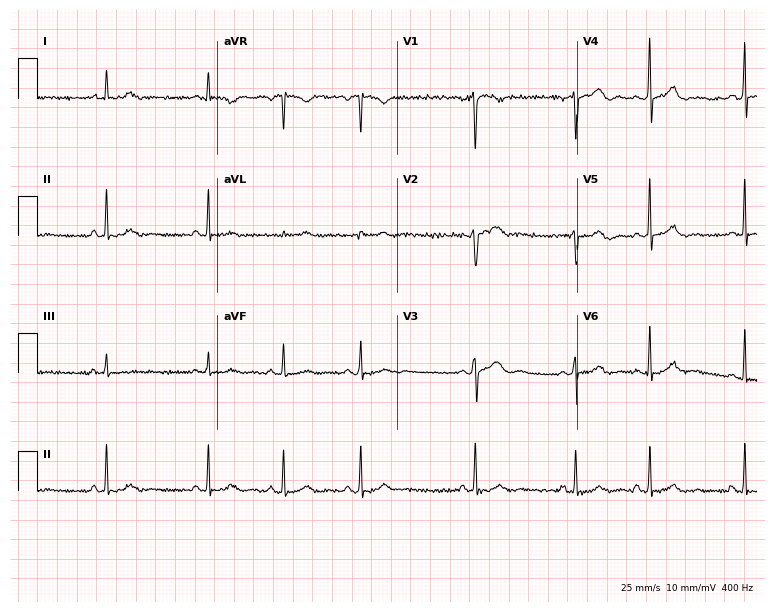
12-lead ECG (7.3-second recording at 400 Hz) from a 33-year-old woman. Screened for six findings — first-degree AV block, right bundle branch block, left bundle branch block, sinus bradycardia, atrial fibrillation, sinus tachycardia — none is recorded.